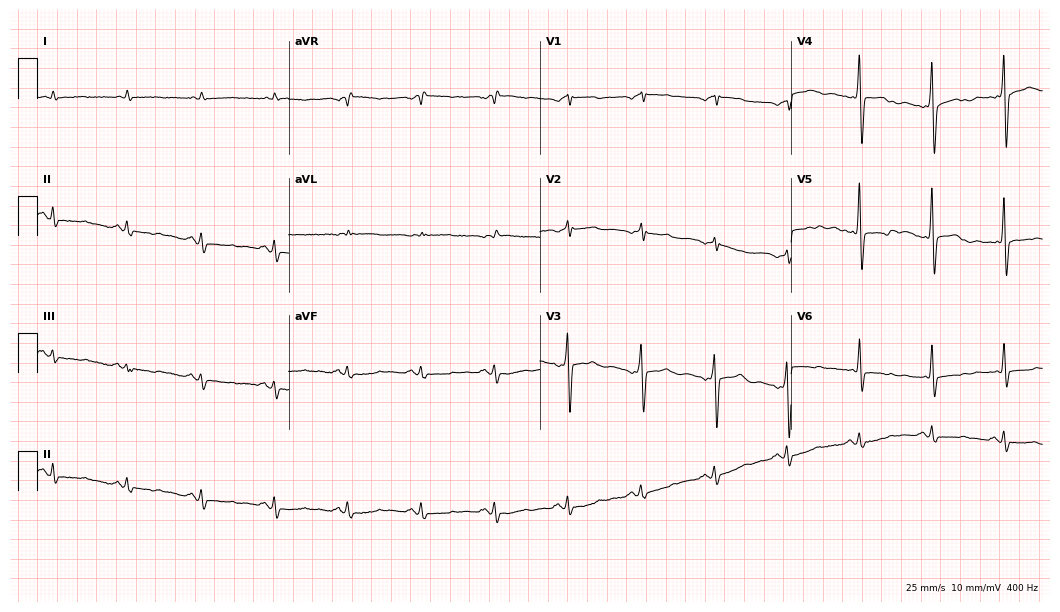
12-lead ECG from a male patient, 78 years old (10.2-second recording at 400 Hz). No first-degree AV block, right bundle branch block, left bundle branch block, sinus bradycardia, atrial fibrillation or sinus tachycardia recorded for this tracing.